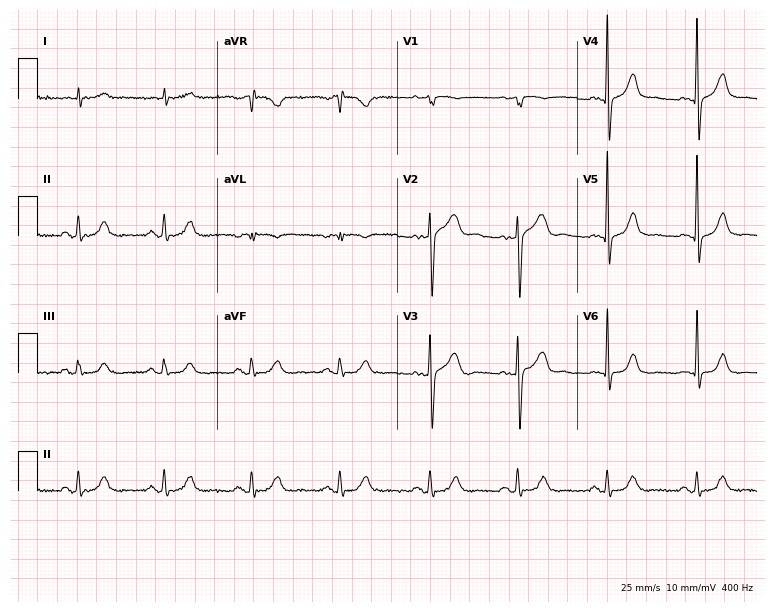
12-lead ECG from an 83-year-old male patient. No first-degree AV block, right bundle branch block (RBBB), left bundle branch block (LBBB), sinus bradycardia, atrial fibrillation (AF) or sinus tachycardia recorded for this tracing. Other findings, if any, are not listed.